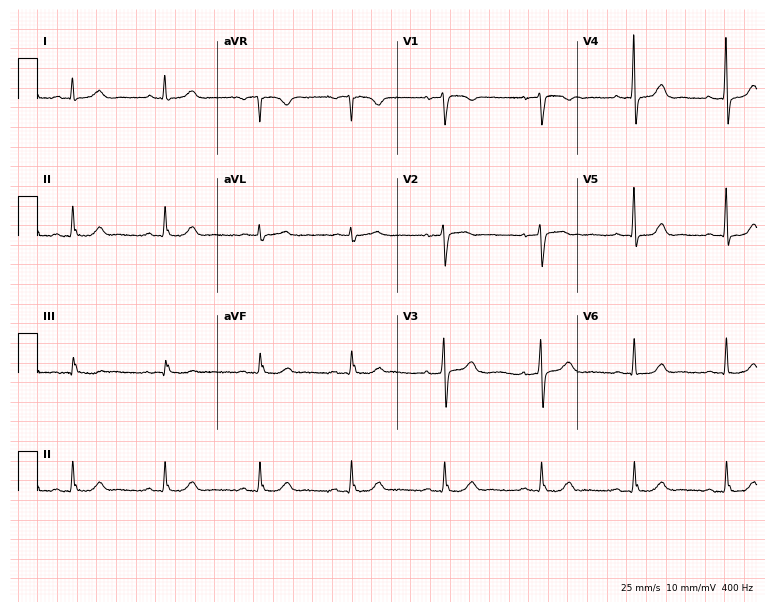
ECG (7.3-second recording at 400 Hz) — a 58-year-old female patient. Labelled as a normal ECG.